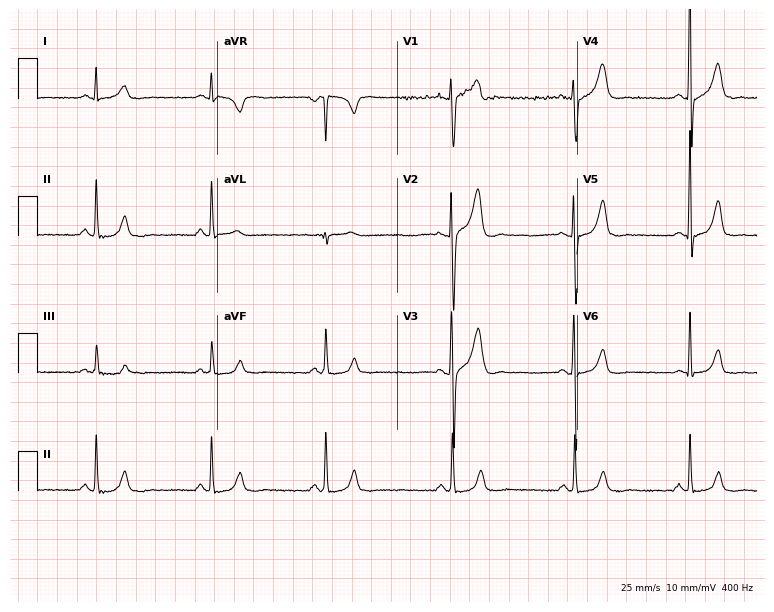
12-lead ECG (7.3-second recording at 400 Hz) from a 30-year-old male patient. Findings include sinus bradycardia (a sinus rate of 50 beats per minute or less).